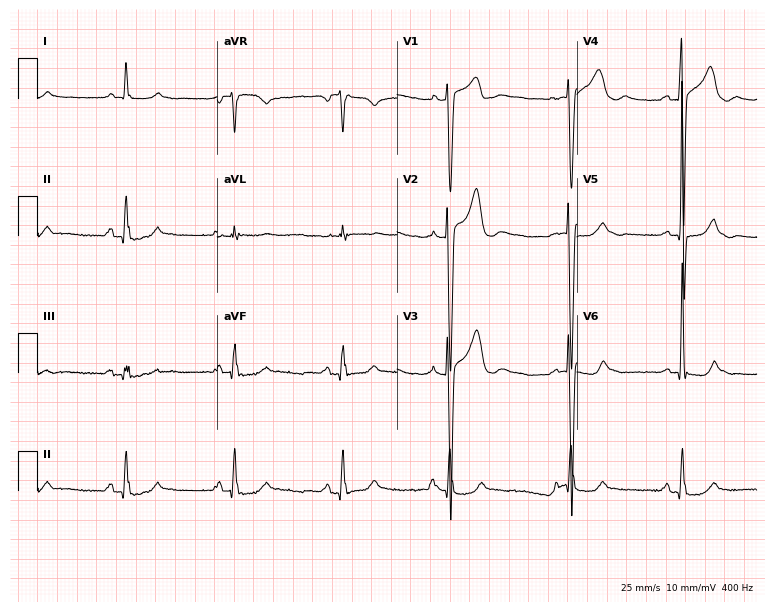
12-lead ECG from a man, 58 years old. Recorded interpretation: within normal limits.